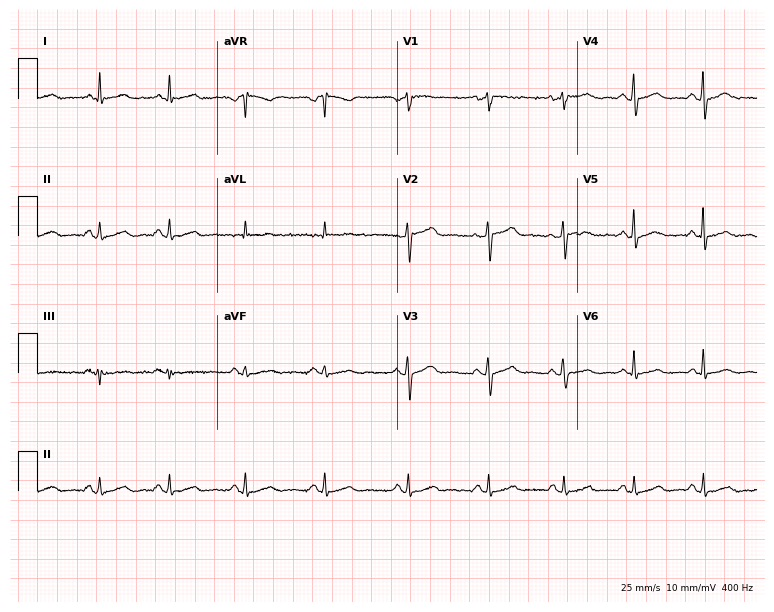
12-lead ECG from a 55-year-old woman (7.3-second recording at 400 Hz). Recorded interpretation: within normal limits.